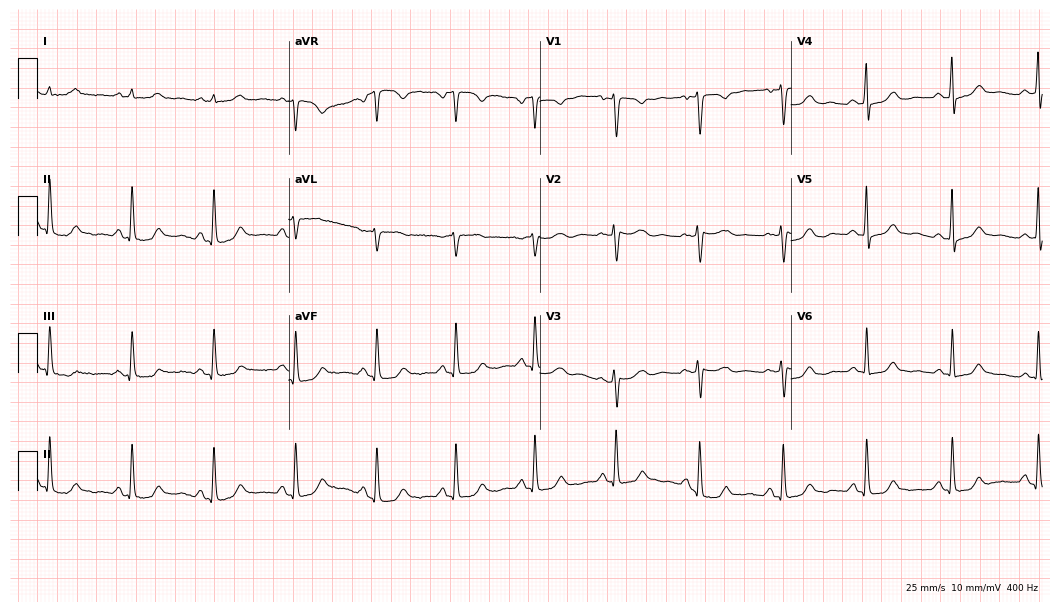
12-lead ECG from a 43-year-old female patient (10.2-second recording at 400 Hz). Recorded interpretation: within normal limits.